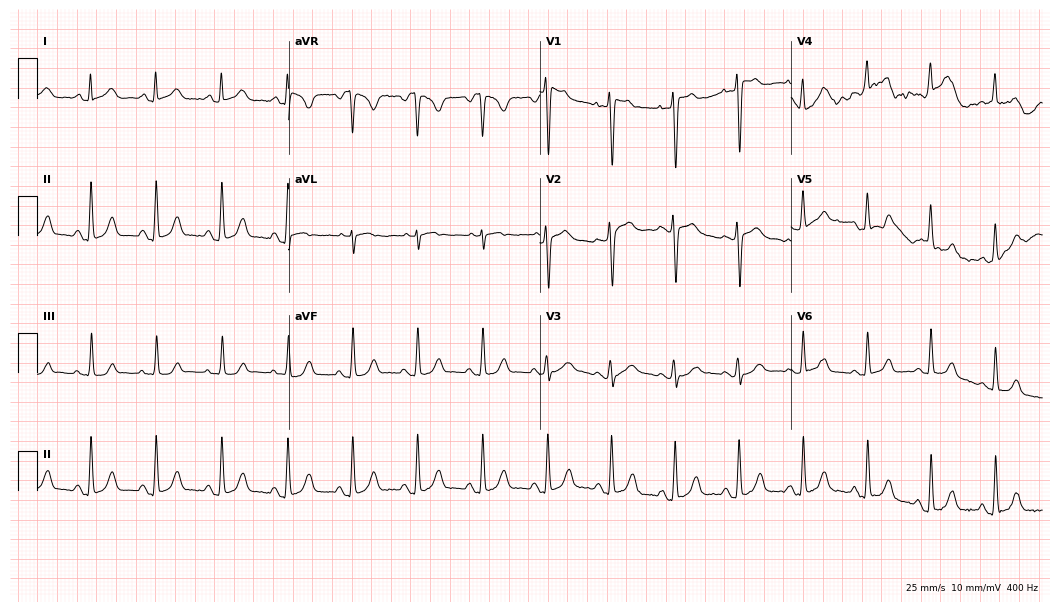
12-lead ECG from a 30-year-old male patient. Recorded interpretation: within normal limits.